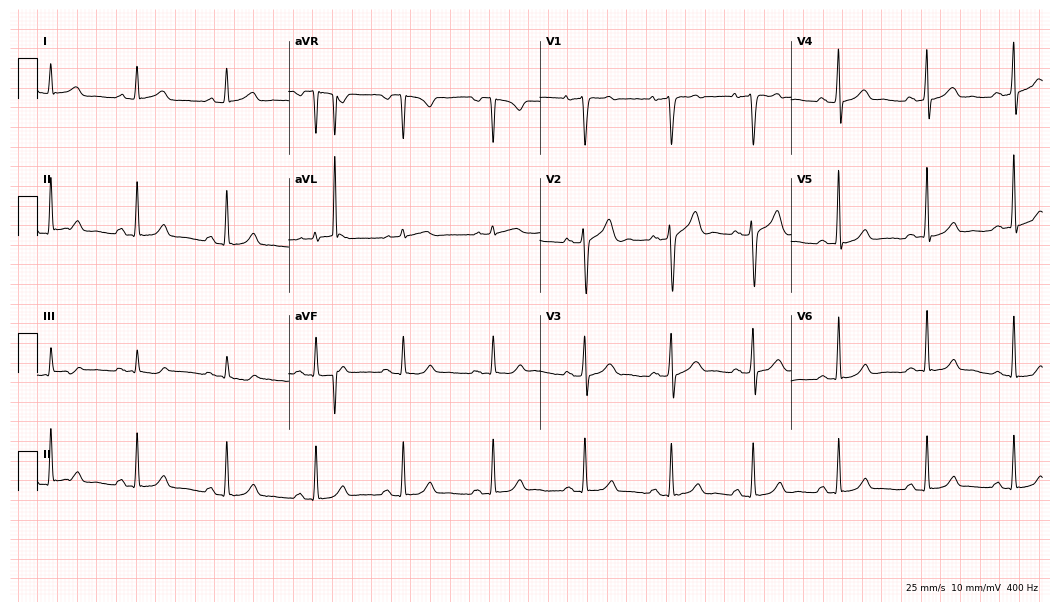
Electrocardiogram, a man, 40 years old. Overall reading on record: normal ECG.